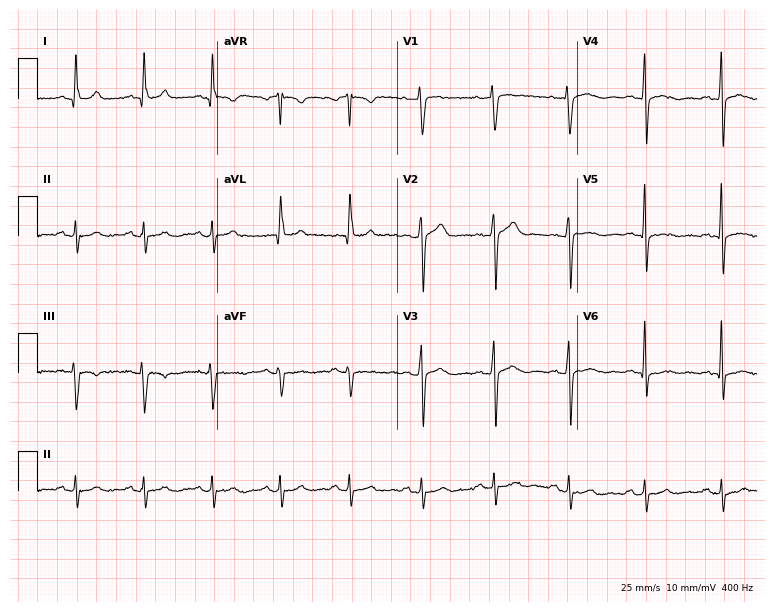
12-lead ECG from a man, 38 years old. No first-degree AV block, right bundle branch block, left bundle branch block, sinus bradycardia, atrial fibrillation or sinus tachycardia recorded for this tracing.